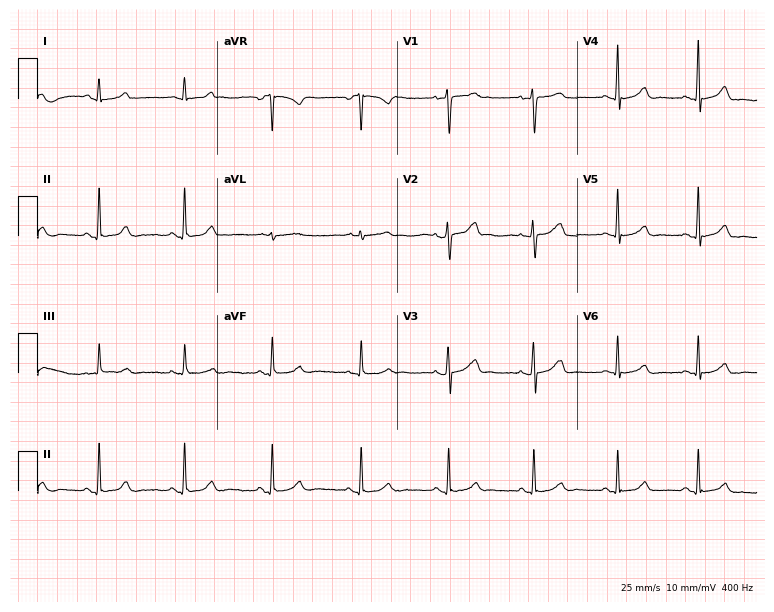
Resting 12-lead electrocardiogram. Patient: a 46-year-old female. Read as a normal ECG.